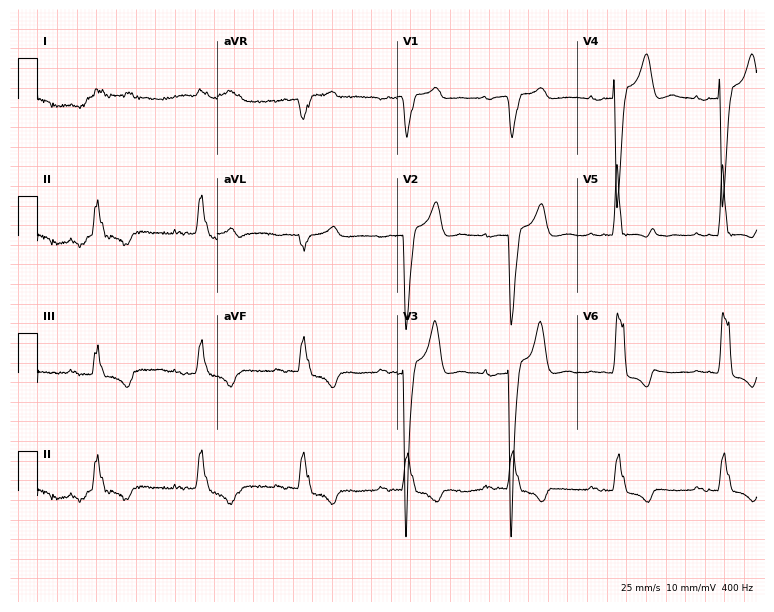
12-lead ECG from a man, 60 years old (7.3-second recording at 400 Hz). Shows first-degree AV block, left bundle branch block.